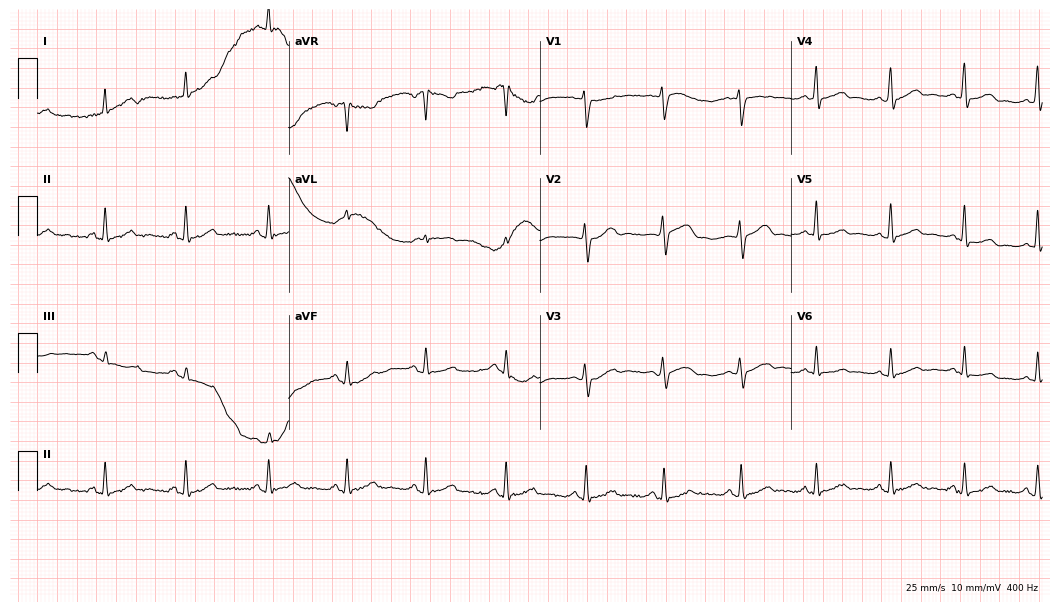
Standard 12-lead ECG recorded from a 32-year-old female patient (10.2-second recording at 400 Hz). None of these six findings is recorded: first-degree AV block, right bundle branch block (RBBB), left bundle branch block (LBBB), sinus bradycardia, atrial fibrillation (AF), sinus tachycardia. Only these six findings were labelled.